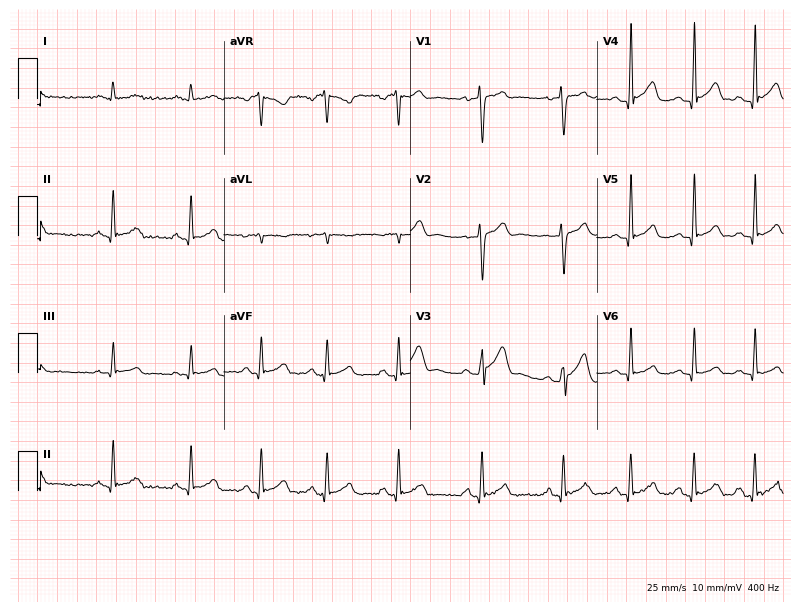
12-lead ECG from an 18-year-old man. Screened for six findings — first-degree AV block, right bundle branch block (RBBB), left bundle branch block (LBBB), sinus bradycardia, atrial fibrillation (AF), sinus tachycardia — none is recorded. Only these six findings were labelled.